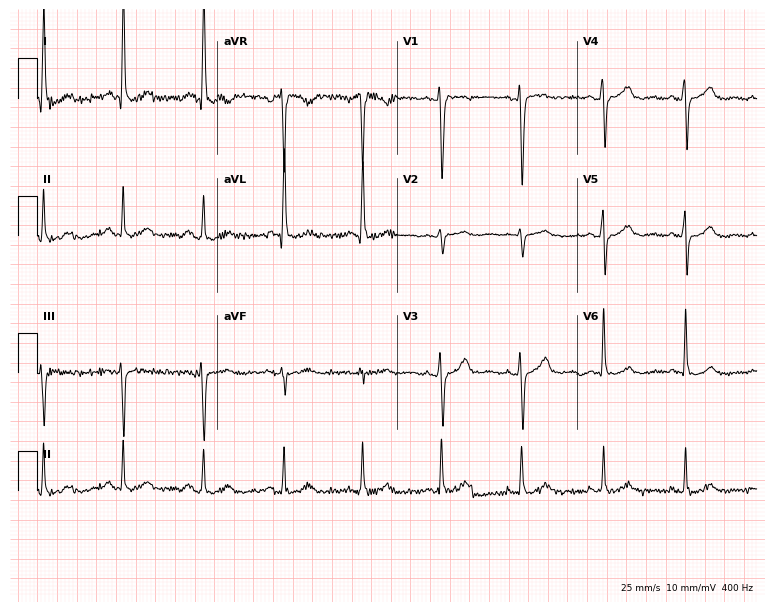
Standard 12-lead ECG recorded from a female patient, 27 years old. Read as a normal ECG.